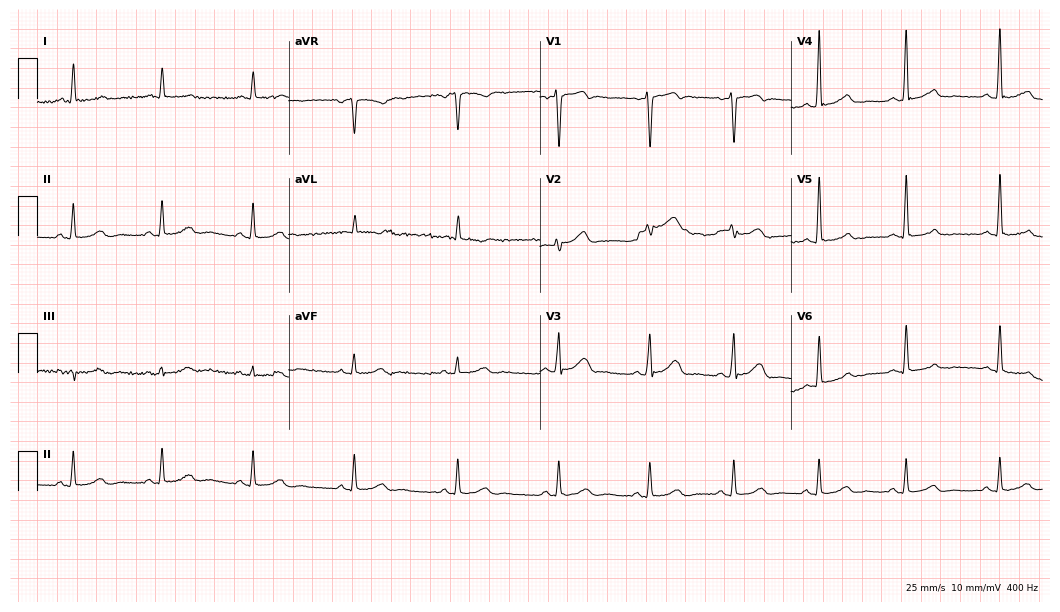
Standard 12-lead ECG recorded from a male, 53 years old. Read as a normal ECG.